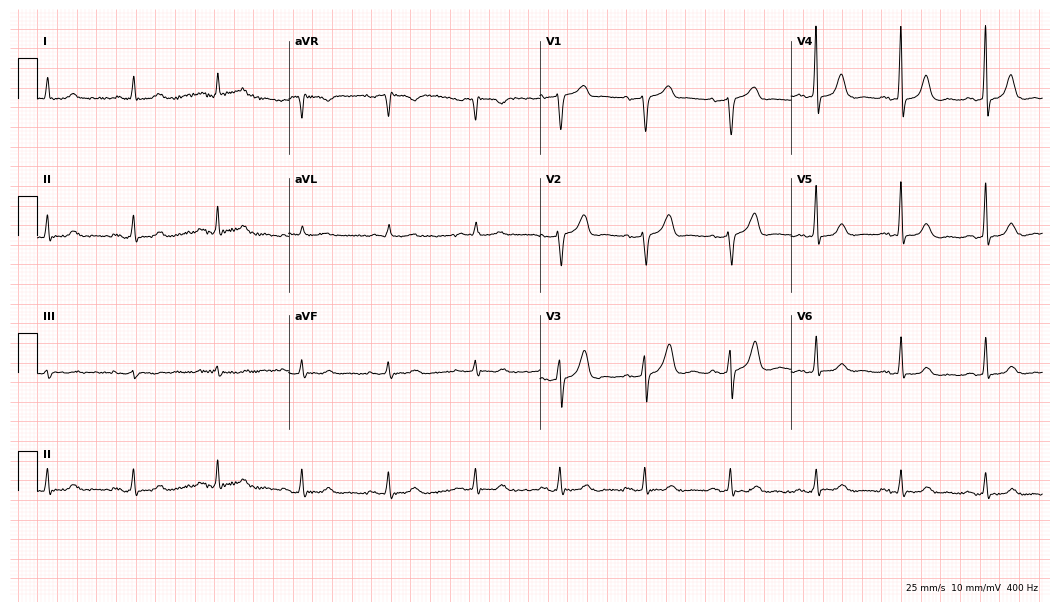
12-lead ECG from a female, 68 years old (10.2-second recording at 400 Hz). Recorded interpretation: within normal limits.